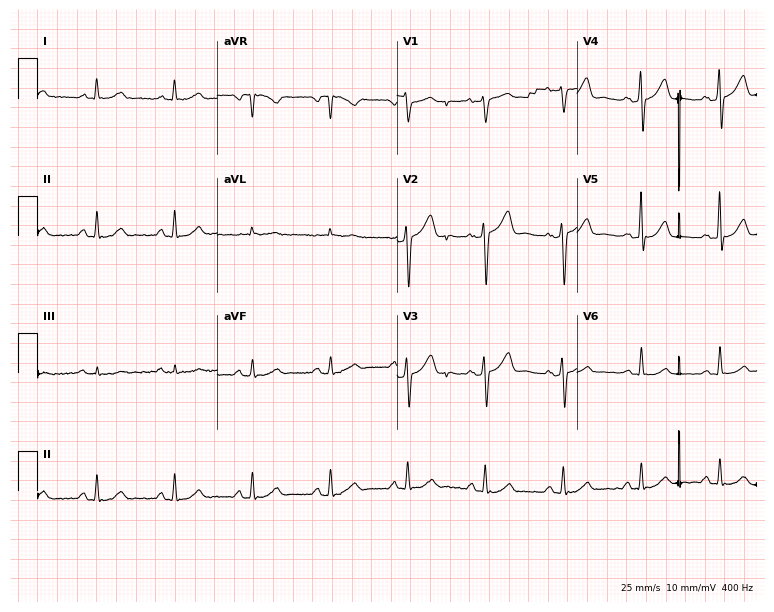
Electrocardiogram (7.3-second recording at 400 Hz), a man, 54 years old. Of the six screened findings (first-degree AV block, right bundle branch block, left bundle branch block, sinus bradycardia, atrial fibrillation, sinus tachycardia), none is recorded. Findings outside these six are not listed.